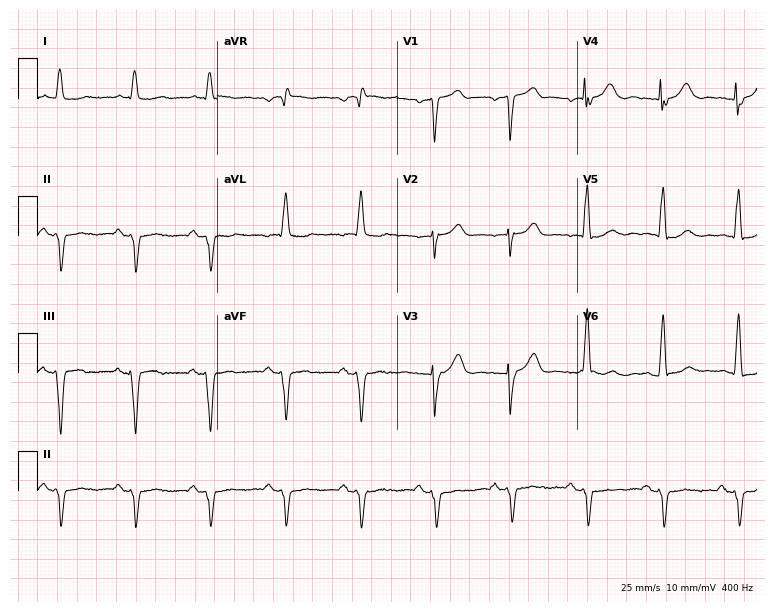
12-lead ECG from a male, 80 years old (7.3-second recording at 400 Hz). No first-degree AV block, right bundle branch block, left bundle branch block, sinus bradycardia, atrial fibrillation or sinus tachycardia recorded for this tracing.